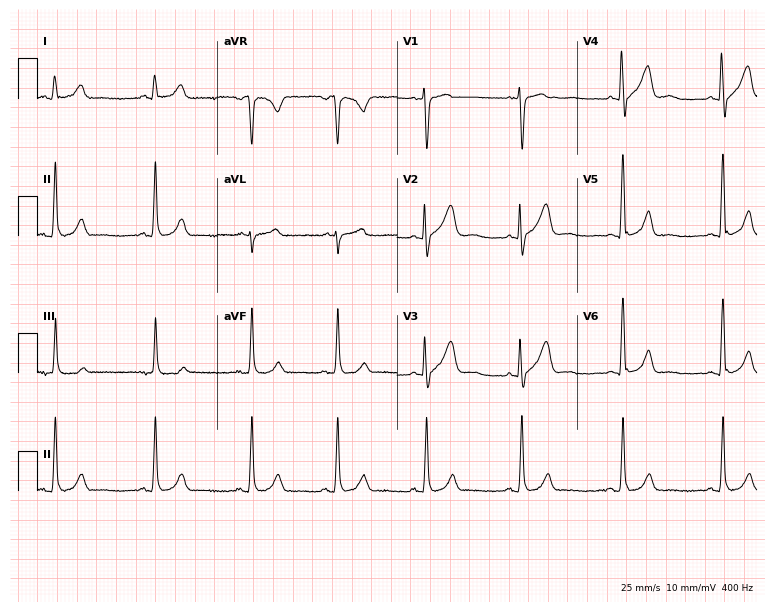
Electrocardiogram, a male patient, 47 years old. Overall reading on record: normal ECG.